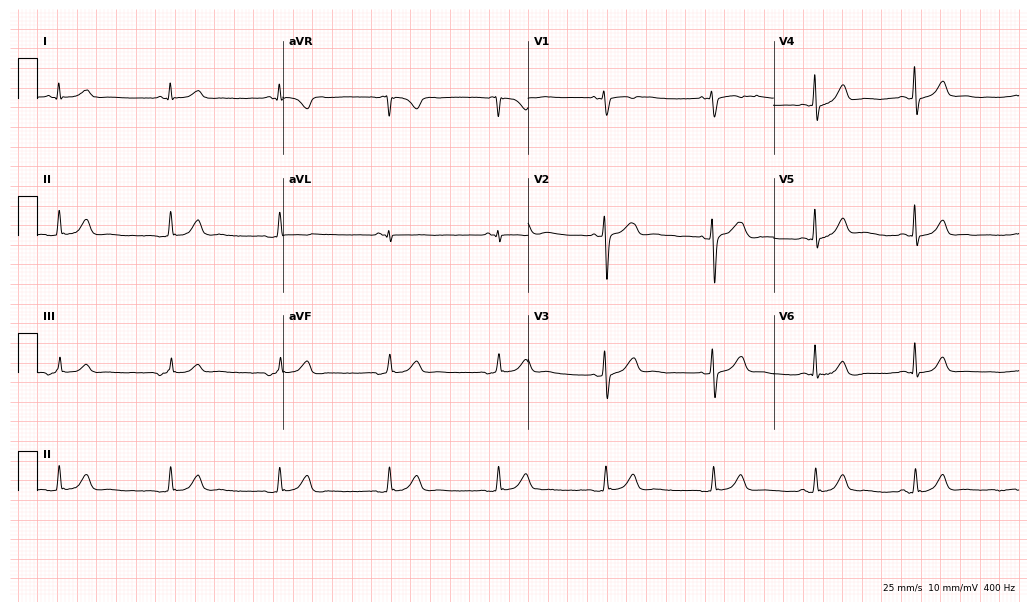
12-lead ECG from a 57-year-old man. No first-degree AV block, right bundle branch block (RBBB), left bundle branch block (LBBB), sinus bradycardia, atrial fibrillation (AF) or sinus tachycardia recorded for this tracing. Only these six findings were labelled.